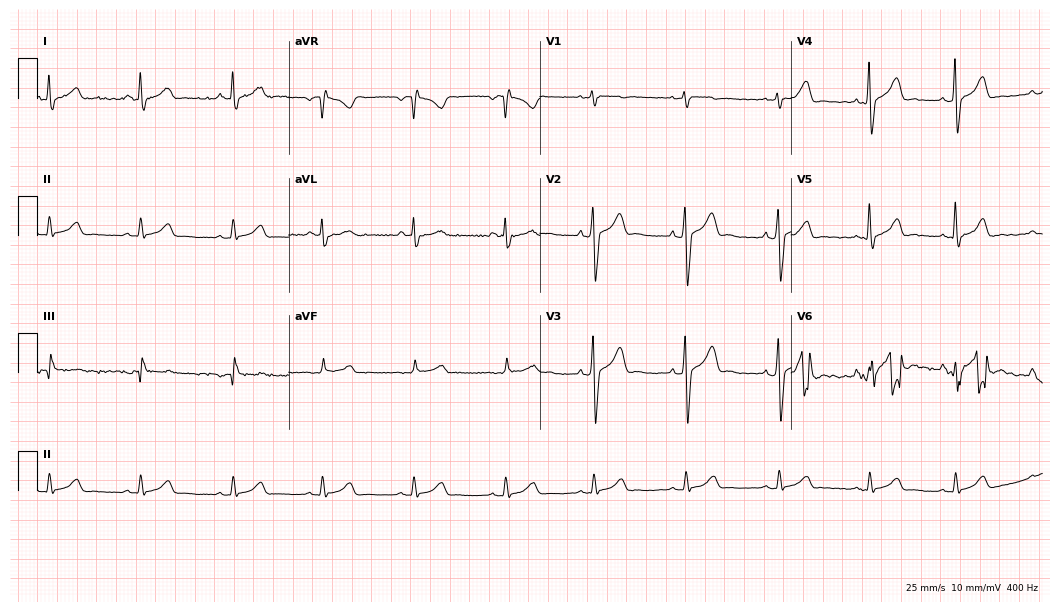
12-lead ECG from a man, 37 years old. Labelled as a normal ECG.